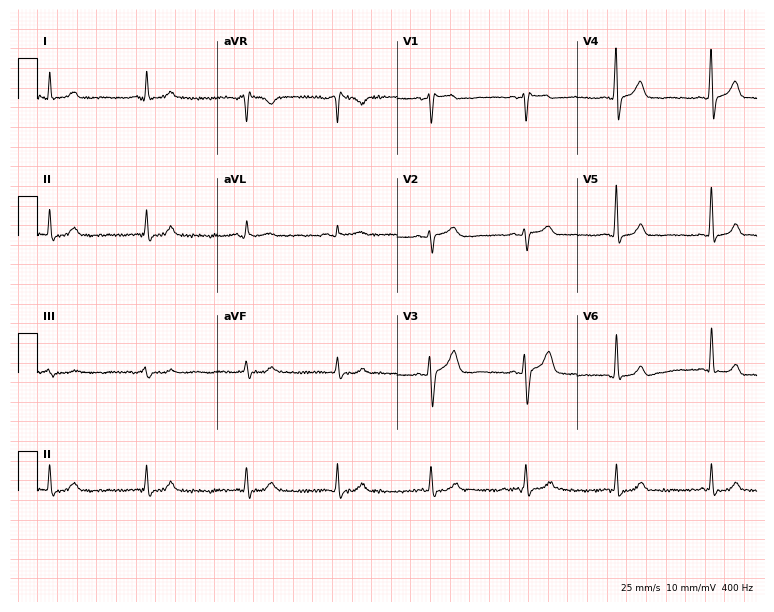
Resting 12-lead electrocardiogram. Patient: a 67-year-old female. None of these six findings is recorded: first-degree AV block, right bundle branch block, left bundle branch block, sinus bradycardia, atrial fibrillation, sinus tachycardia. Only these six findings were labelled.